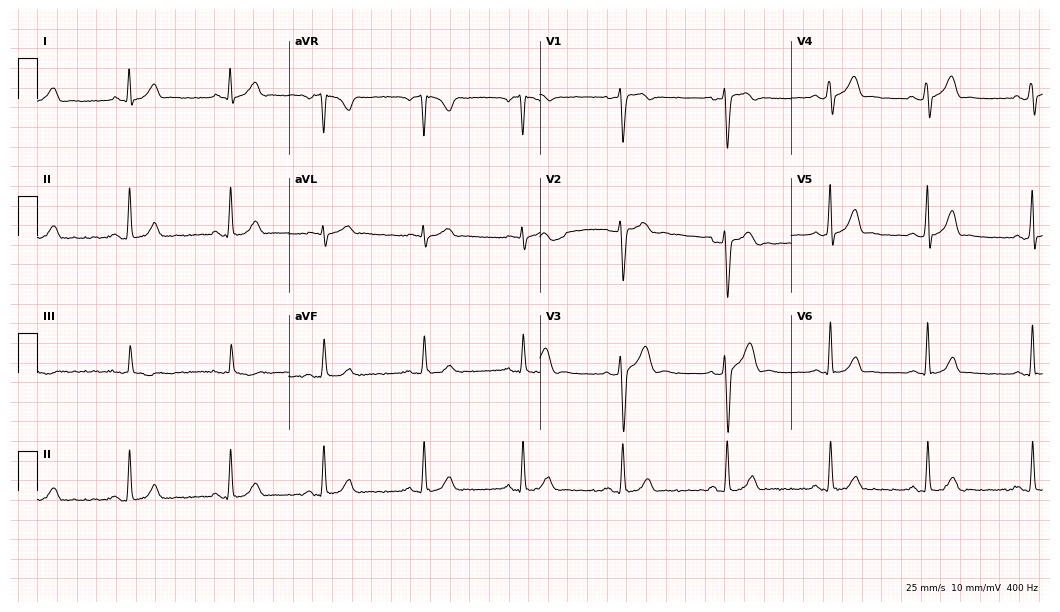
ECG — a man, 34 years old. Labelled as a normal ECG.